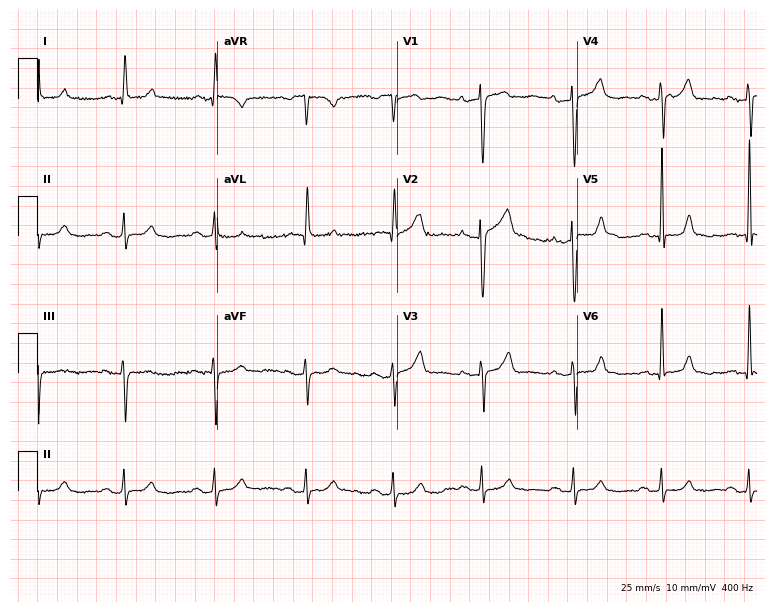
12-lead ECG from a 65-year-old female (7.3-second recording at 400 Hz). Recorded interpretation: within normal limits.